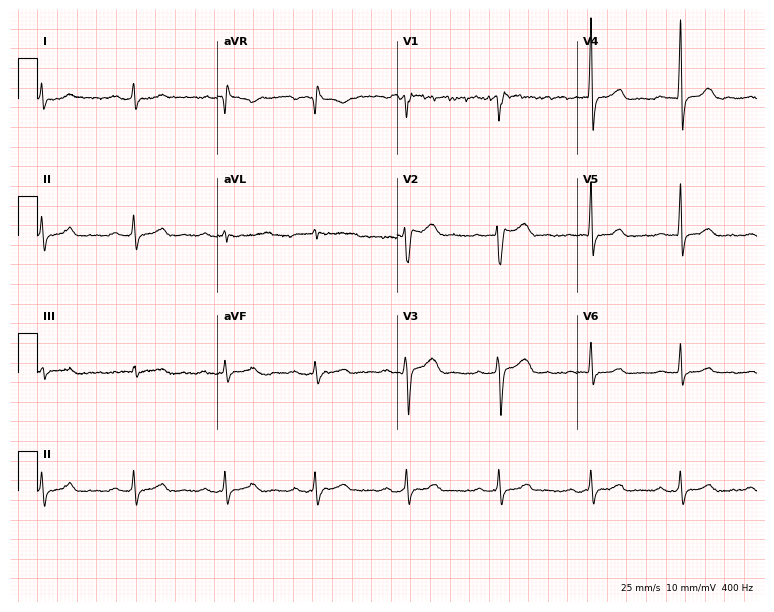
Resting 12-lead electrocardiogram. Patient: a female, 40 years old. None of these six findings is recorded: first-degree AV block, right bundle branch block, left bundle branch block, sinus bradycardia, atrial fibrillation, sinus tachycardia.